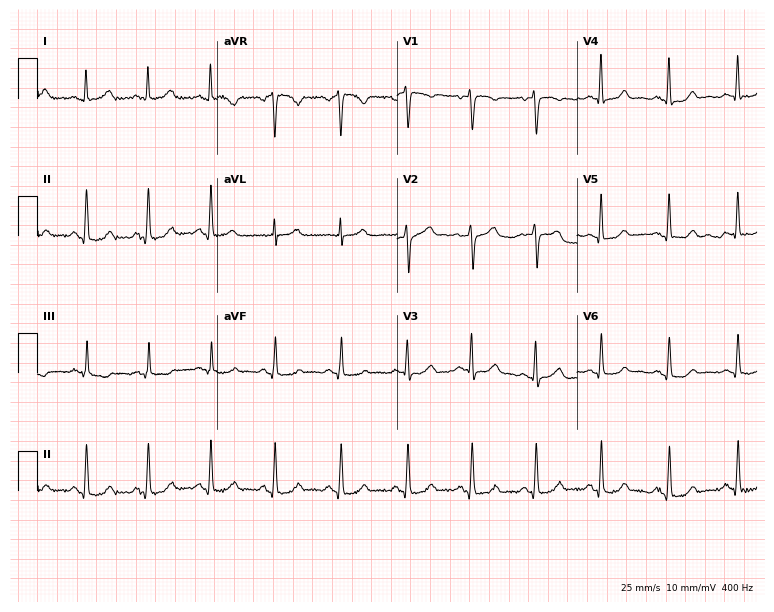
12-lead ECG from a female patient, 44 years old. No first-degree AV block, right bundle branch block (RBBB), left bundle branch block (LBBB), sinus bradycardia, atrial fibrillation (AF) or sinus tachycardia recorded for this tracing.